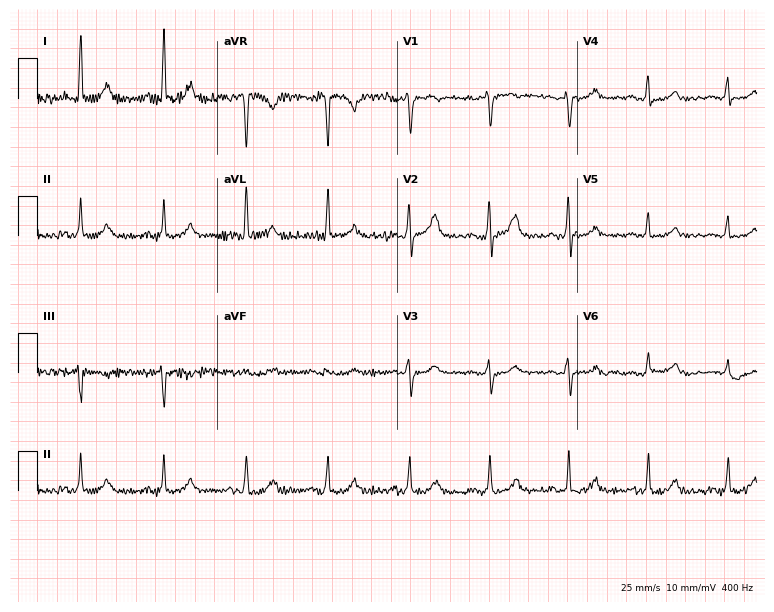
Electrocardiogram, a female, 59 years old. Of the six screened findings (first-degree AV block, right bundle branch block (RBBB), left bundle branch block (LBBB), sinus bradycardia, atrial fibrillation (AF), sinus tachycardia), none is recorded. Findings outside these six are not listed.